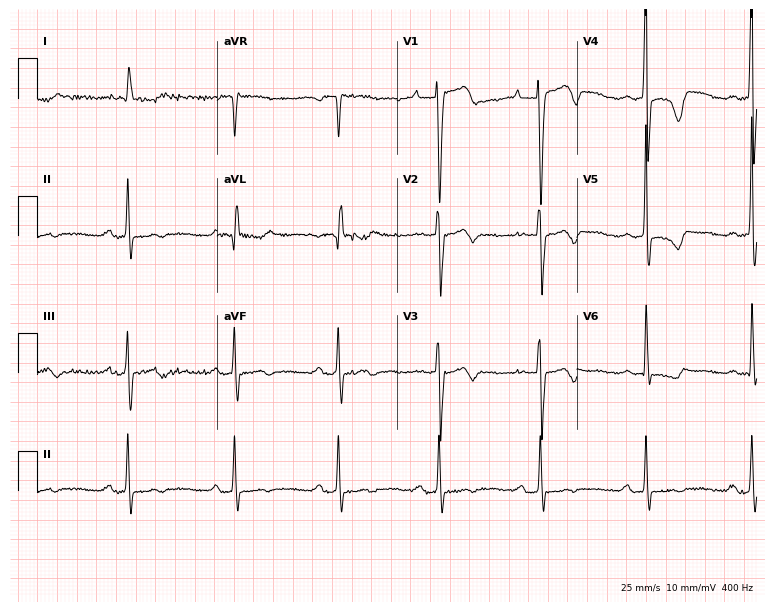
ECG (7.3-second recording at 400 Hz) — a female, 85 years old. Findings include first-degree AV block.